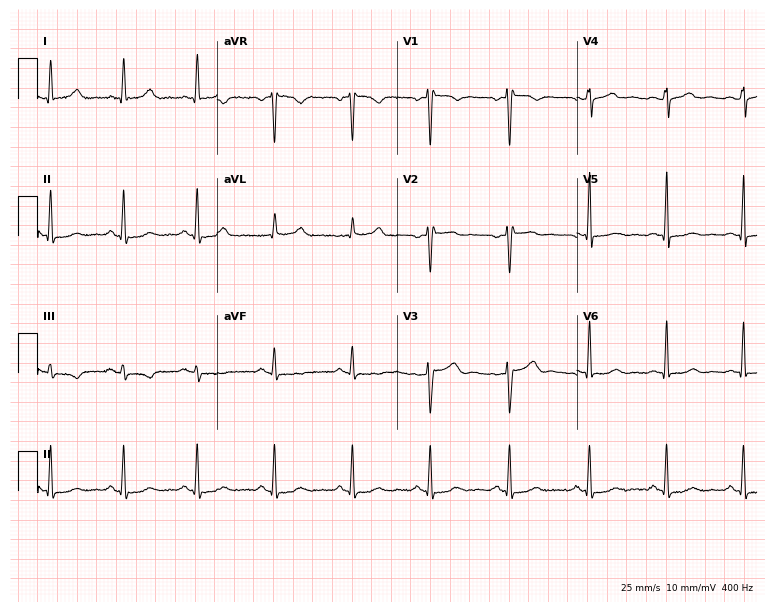
12-lead ECG (7.3-second recording at 400 Hz) from a woman, 46 years old. Screened for six findings — first-degree AV block, right bundle branch block, left bundle branch block, sinus bradycardia, atrial fibrillation, sinus tachycardia — none is recorded. Findings outside these six are not listed.